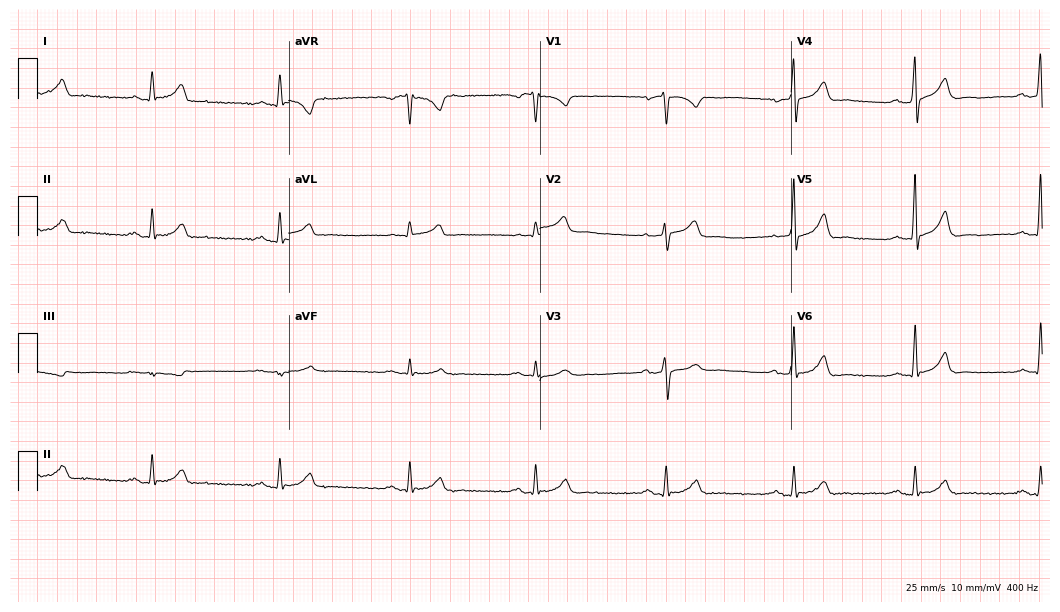
ECG (10.2-second recording at 400 Hz) — a male patient, 51 years old. Findings include first-degree AV block, right bundle branch block.